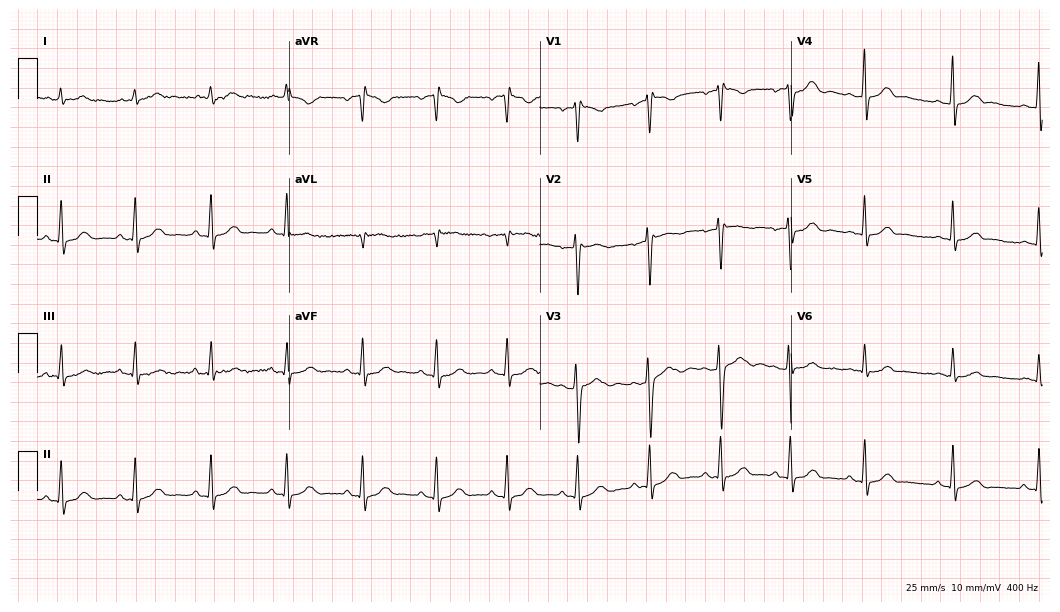
Standard 12-lead ECG recorded from a 39-year-old female (10.2-second recording at 400 Hz). Read as a normal ECG.